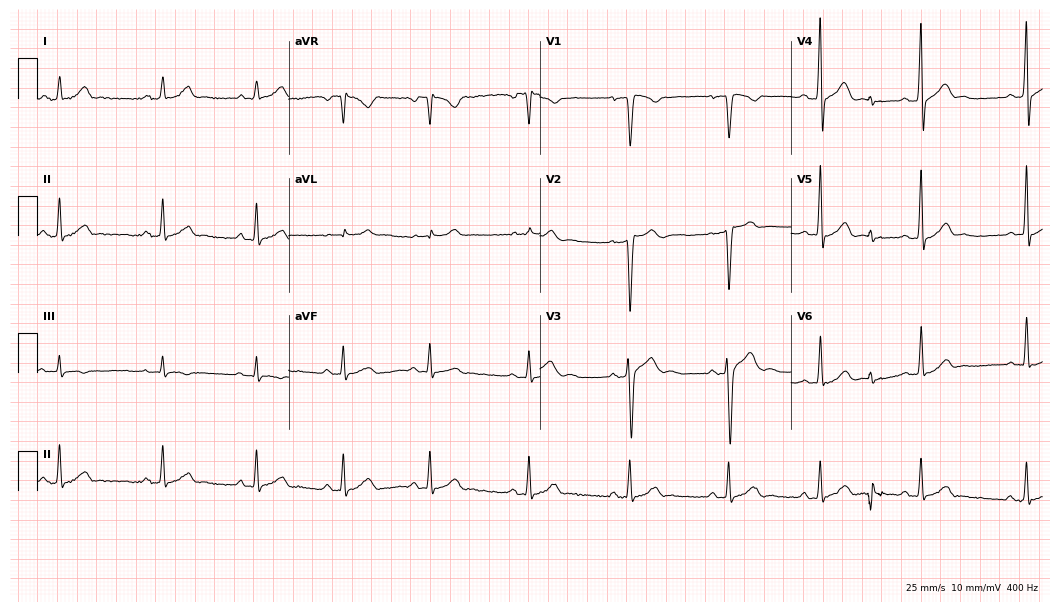
Electrocardiogram, a male, 31 years old. Overall reading on record: normal ECG.